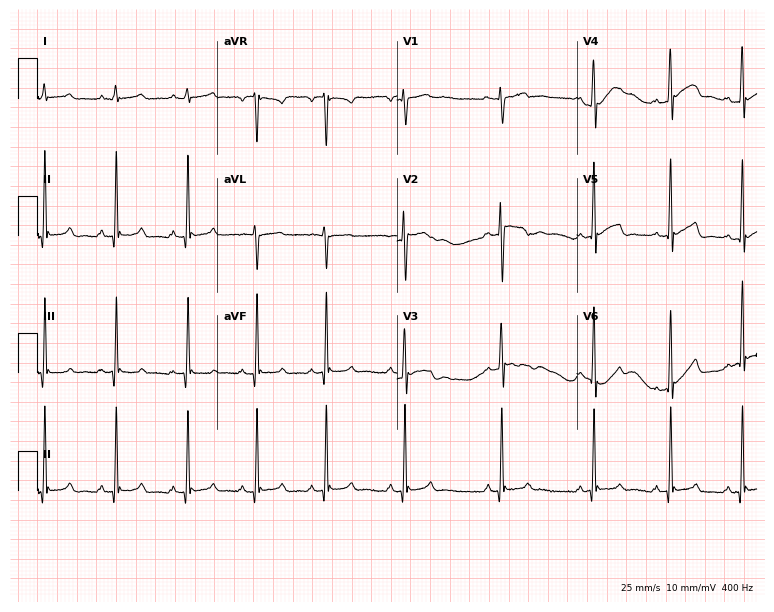
Resting 12-lead electrocardiogram (7.3-second recording at 400 Hz). Patient: a male, 21 years old. Read as a normal ECG.